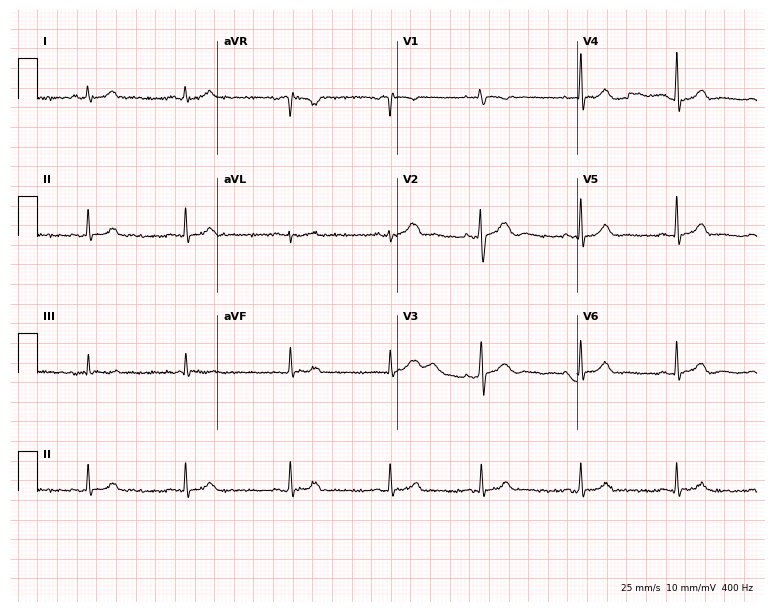
12-lead ECG from a female, 24 years old (7.3-second recording at 400 Hz). No first-degree AV block, right bundle branch block (RBBB), left bundle branch block (LBBB), sinus bradycardia, atrial fibrillation (AF) or sinus tachycardia recorded for this tracing.